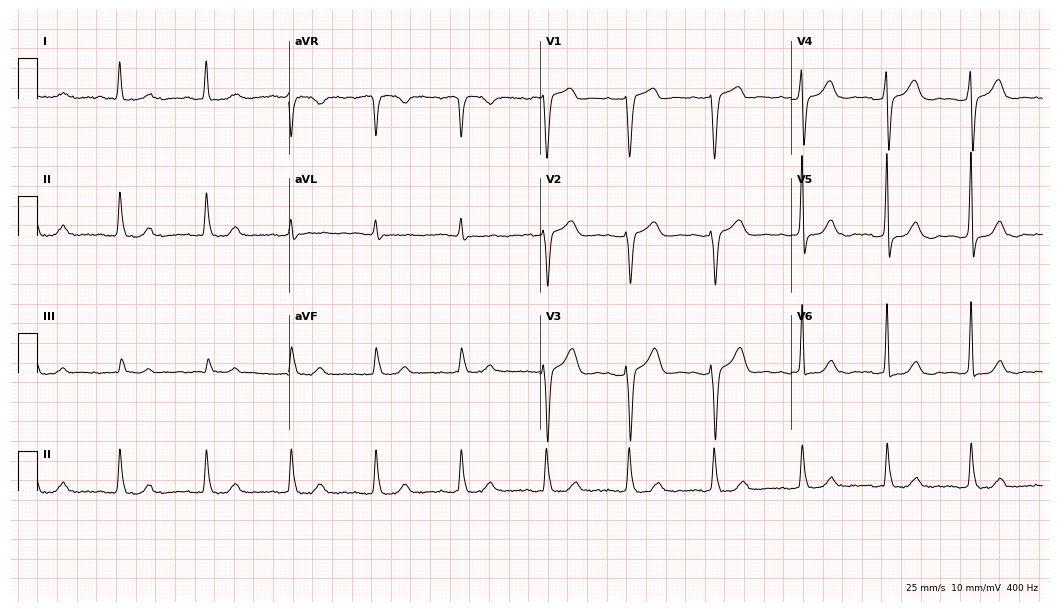
Resting 12-lead electrocardiogram. Patient: a female, 64 years old. None of these six findings is recorded: first-degree AV block, right bundle branch block, left bundle branch block, sinus bradycardia, atrial fibrillation, sinus tachycardia.